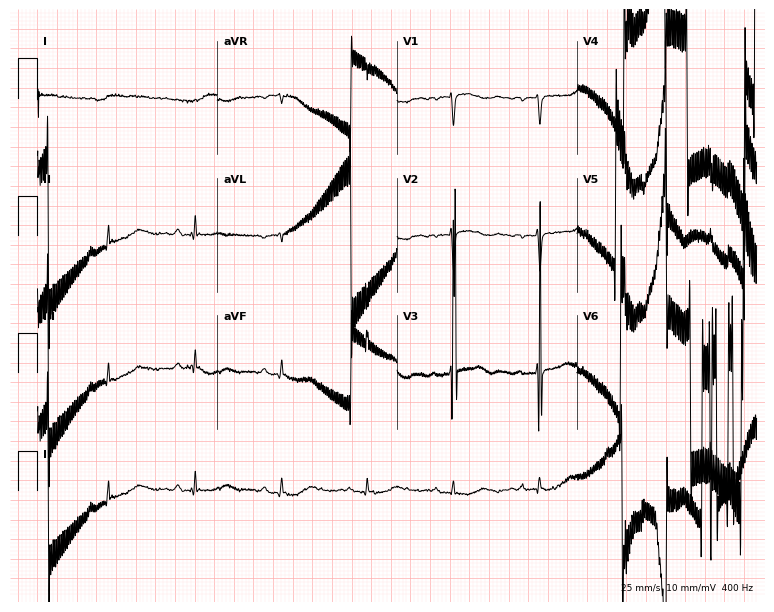
Electrocardiogram (7.3-second recording at 400 Hz), an 81-year-old man. Of the six screened findings (first-degree AV block, right bundle branch block (RBBB), left bundle branch block (LBBB), sinus bradycardia, atrial fibrillation (AF), sinus tachycardia), none is recorded.